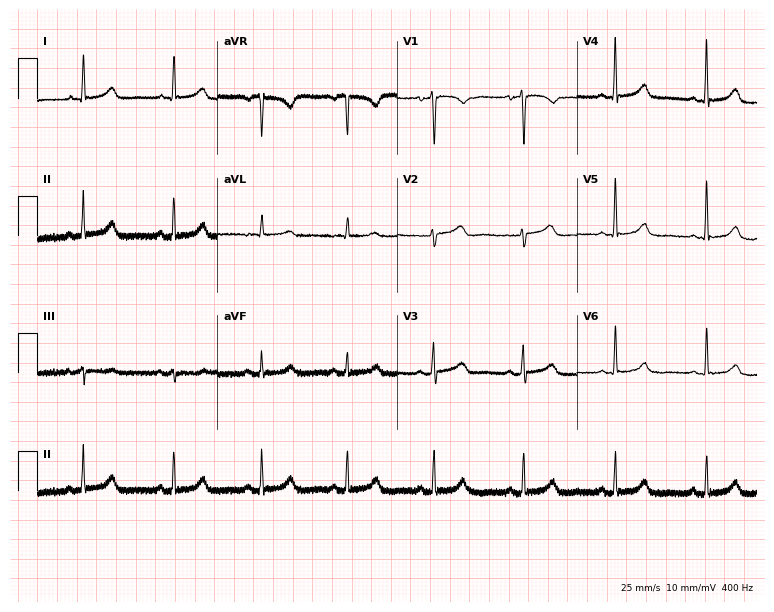
12-lead ECG (7.3-second recording at 400 Hz) from a 50-year-old female. Labelled as a normal ECG.